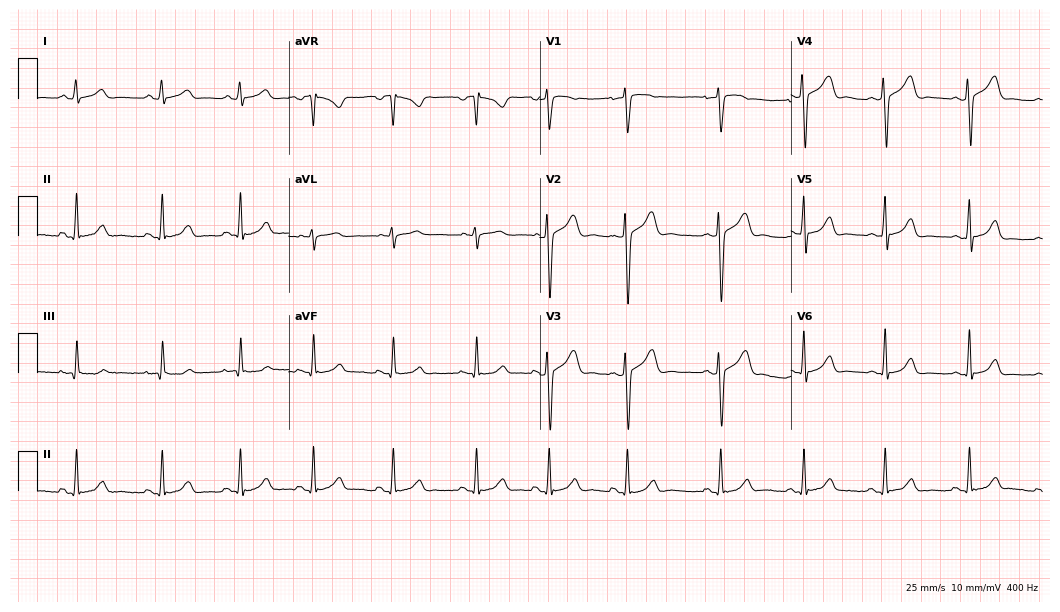
12-lead ECG from a woman, 28 years old. Labelled as a normal ECG.